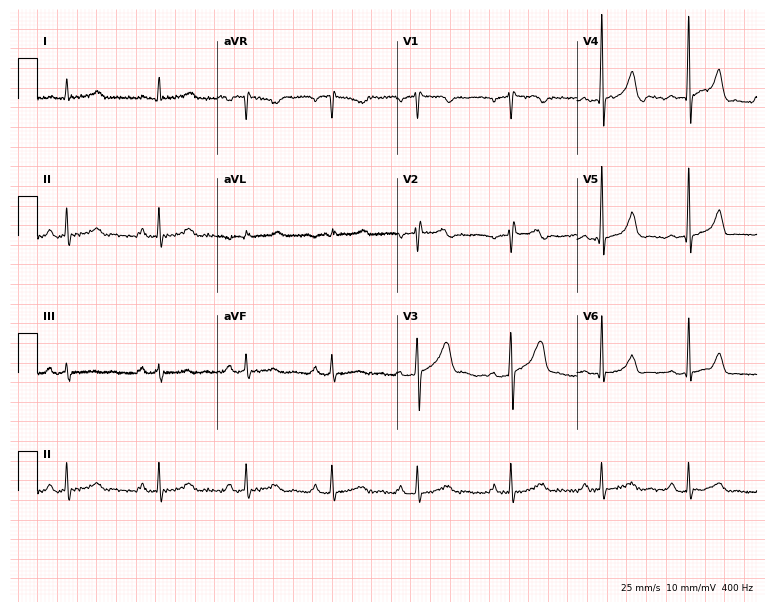
Resting 12-lead electrocardiogram (7.3-second recording at 400 Hz). Patient: a 42-year-old male. None of these six findings is recorded: first-degree AV block, right bundle branch block, left bundle branch block, sinus bradycardia, atrial fibrillation, sinus tachycardia.